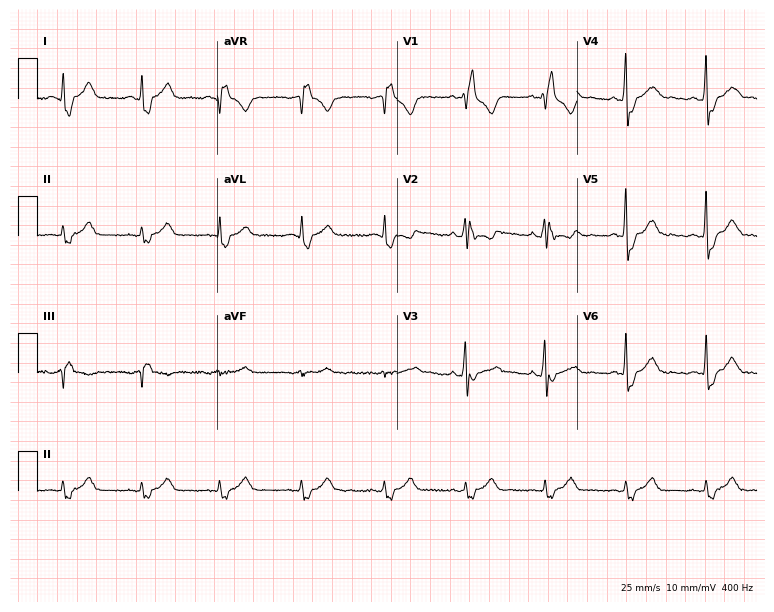
Electrocardiogram (7.3-second recording at 400 Hz), a male, 33 years old. Interpretation includes right bundle branch block (RBBB).